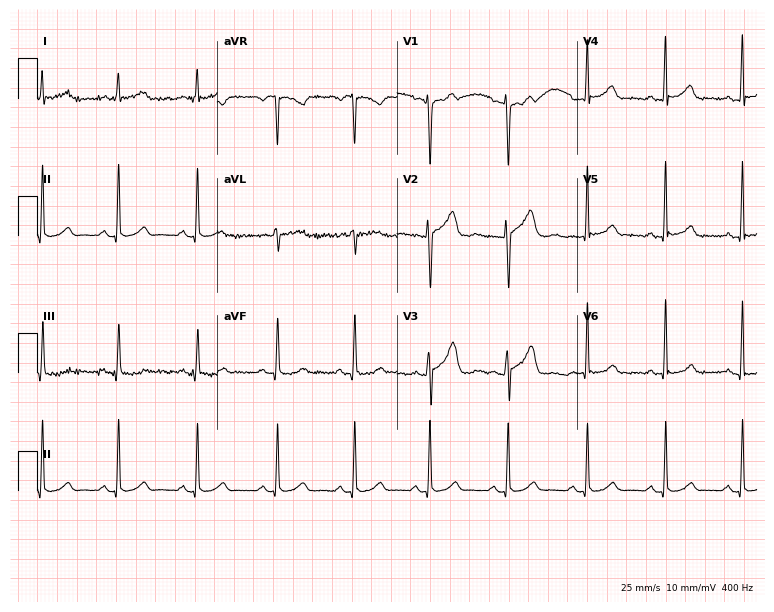
ECG — a female patient, 37 years old. Labelled as a normal ECG.